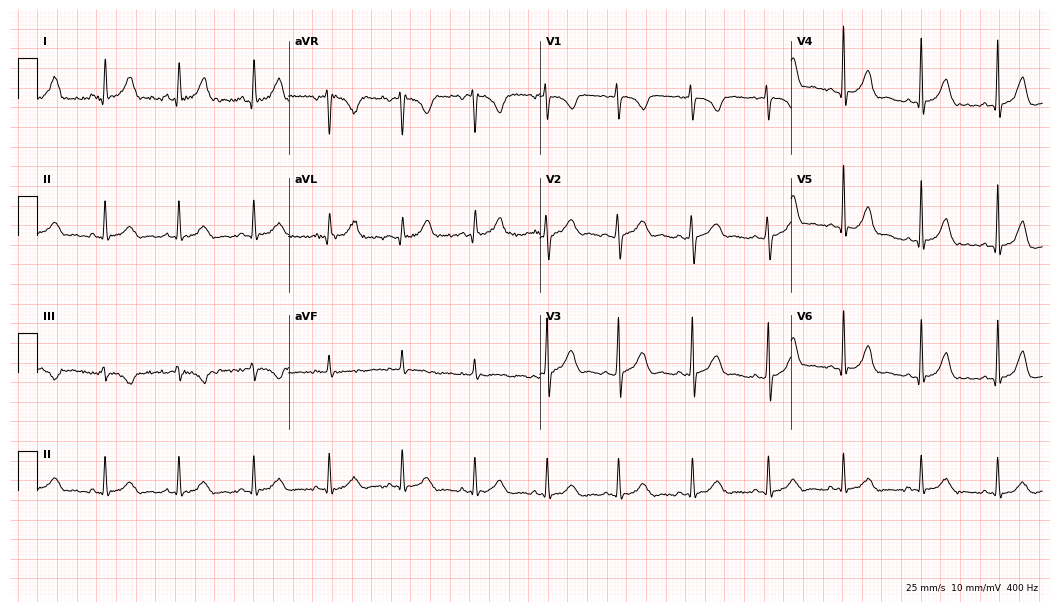
Resting 12-lead electrocardiogram. Patient: a 22-year-old female. Read as a normal ECG.